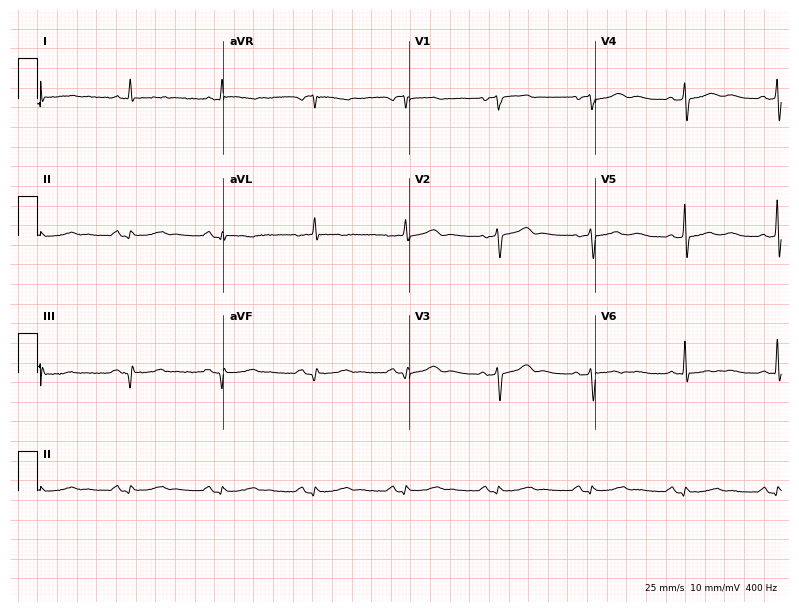
12-lead ECG (7.6-second recording at 400 Hz) from an 80-year-old female. Screened for six findings — first-degree AV block, right bundle branch block (RBBB), left bundle branch block (LBBB), sinus bradycardia, atrial fibrillation (AF), sinus tachycardia — none is recorded. Only these six findings were labelled.